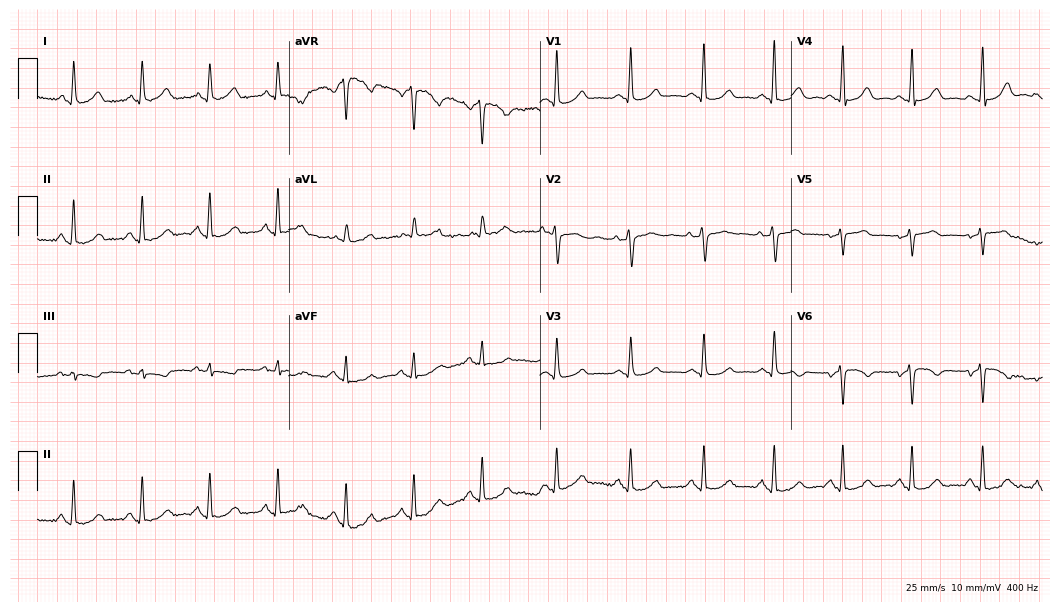
ECG (10.2-second recording at 400 Hz) — a 64-year-old female patient. Screened for six findings — first-degree AV block, right bundle branch block (RBBB), left bundle branch block (LBBB), sinus bradycardia, atrial fibrillation (AF), sinus tachycardia — none is recorded.